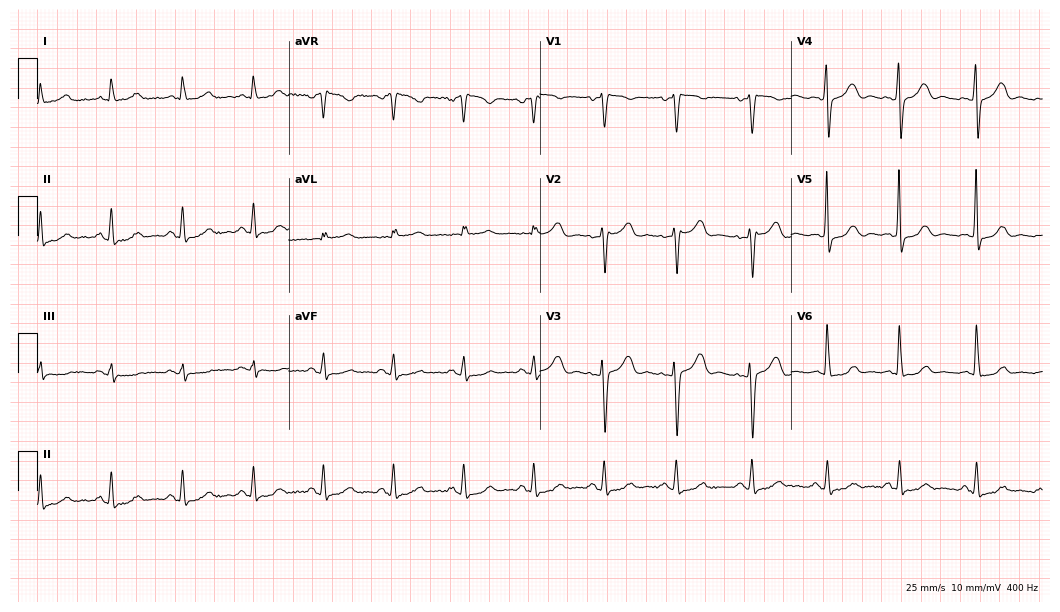
ECG — a woman, 55 years old. Screened for six findings — first-degree AV block, right bundle branch block, left bundle branch block, sinus bradycardia, atrial fibrillation, sinus tachycardia — none is recorded. Other findings, if any, are not listed.